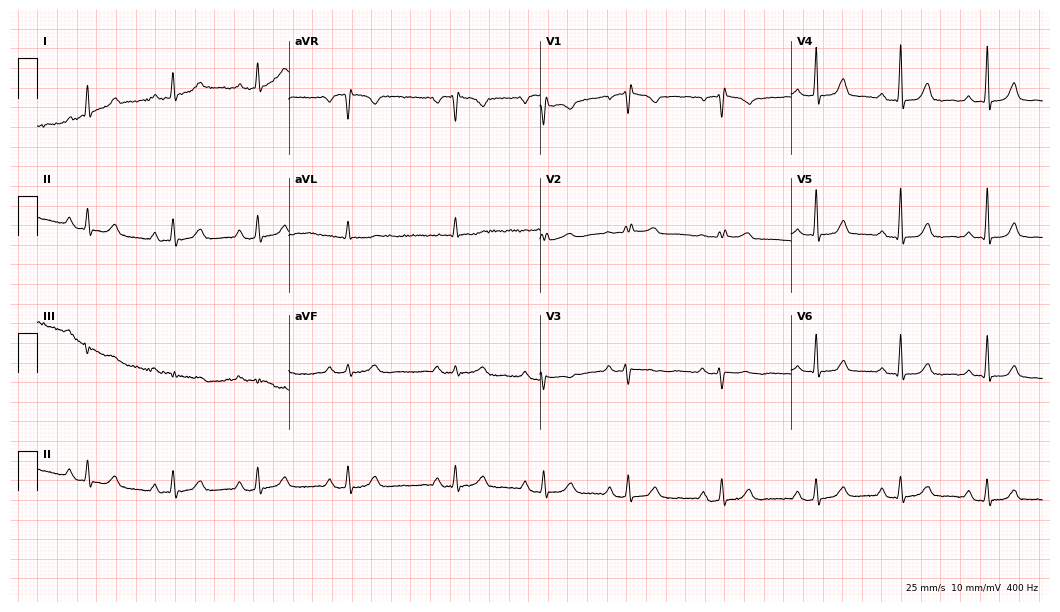
Electrocardiogram, a female, 59 years old. Of the six screened findings (first-degree AV block, right bundle branch block (RBBB), left bundle branch block (LBBB), sinus bradycardia, atrial fibrillation (AF), sinus tachycardia), none is recorded.